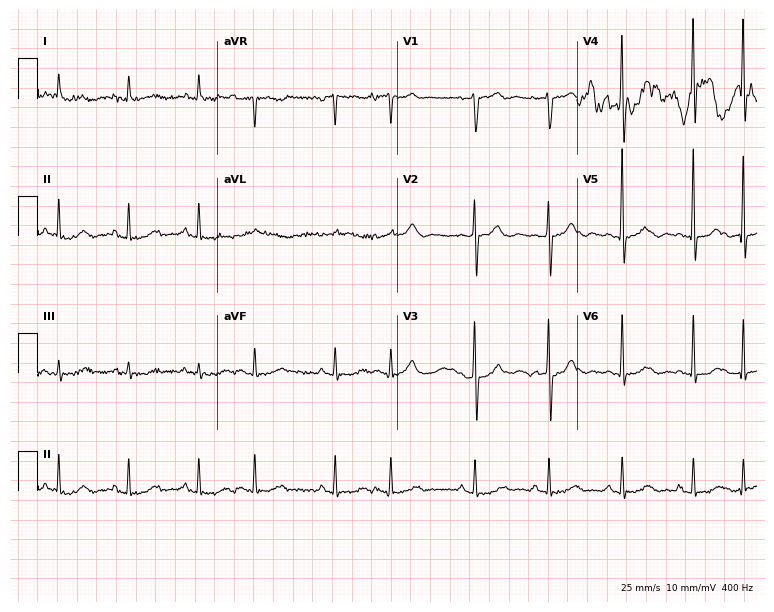
12-lead ECG from a woman, 81 years old. Screened for six findings — first-degree AV block, right bundle branch block, left bundle branch block, sinus bradycardia, atrial fibrillation, sinus tachycardia — none is recorded. Other findings, if any, are not listed.